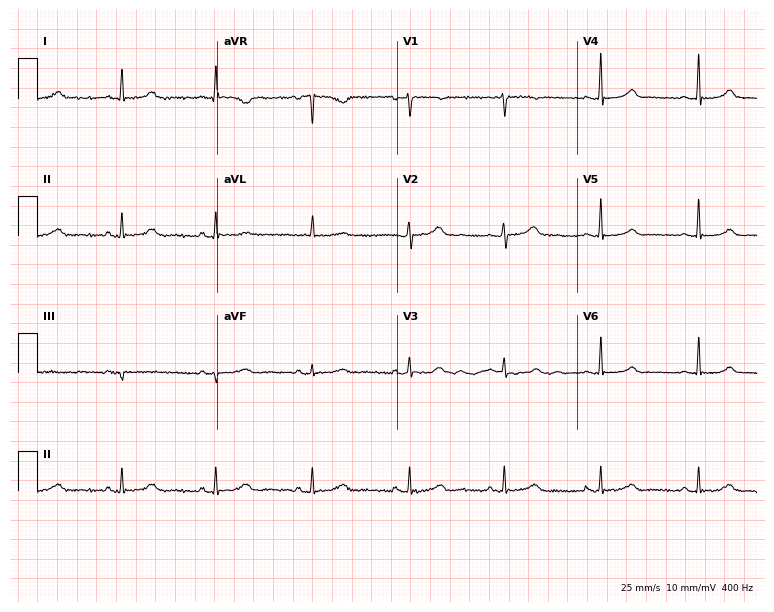
ECG (7.3-second recording at 400 Hz) — a 57-year-old female patient. Screened for six findings — first-degree AV block, right bundle branch block (RBBB), left bundle branch block (LBBB), sinus bradycardia, atrial fibrillation (AF), sinus tachycardia — none is recorded.